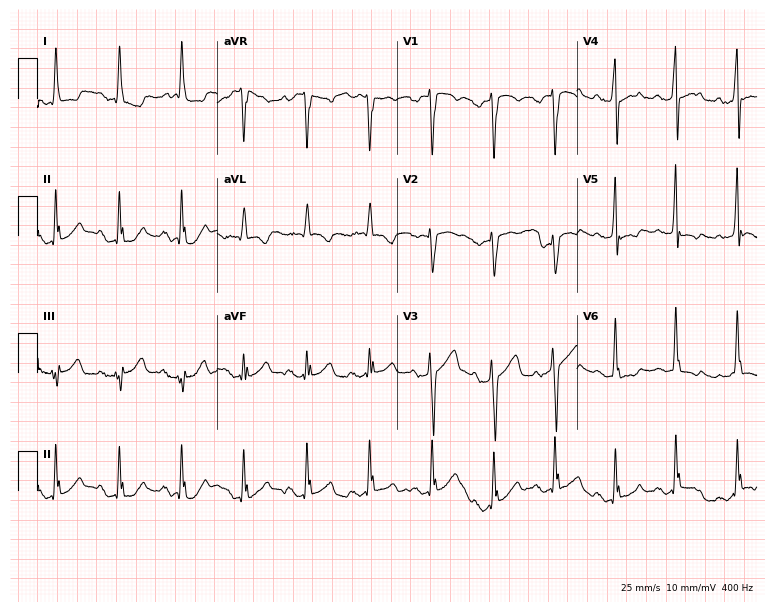
Resting 12-lead electrocardiogram. Patient: a 57-year-old male. None of these six findings is recorded: first-degree AV block, right bundle branch block, left bundle branch block, sinus bradycardia, atrial fibrillation, sinus tachycardia. Findings outside these six are not listed.